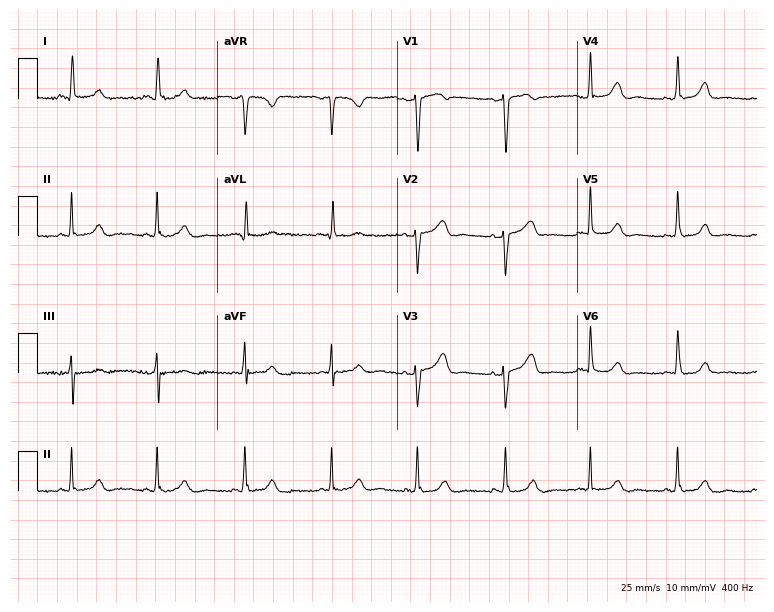
Resting 12-lead electrocardiogram. Patient: a male, 61 years old. Read as a normal ECG.